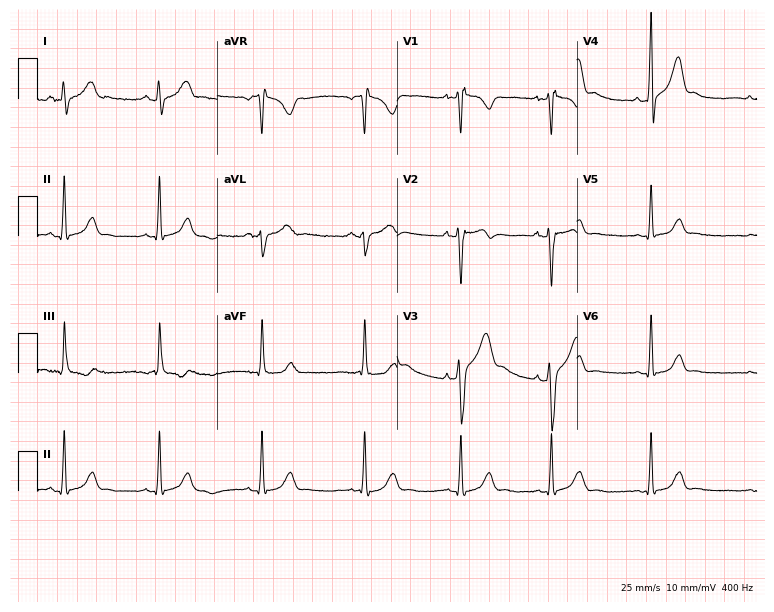
12-lead ECG (7.3-second recording at 400 Hz) from a 19-year-old male patient. Labelled as a normal ECG.